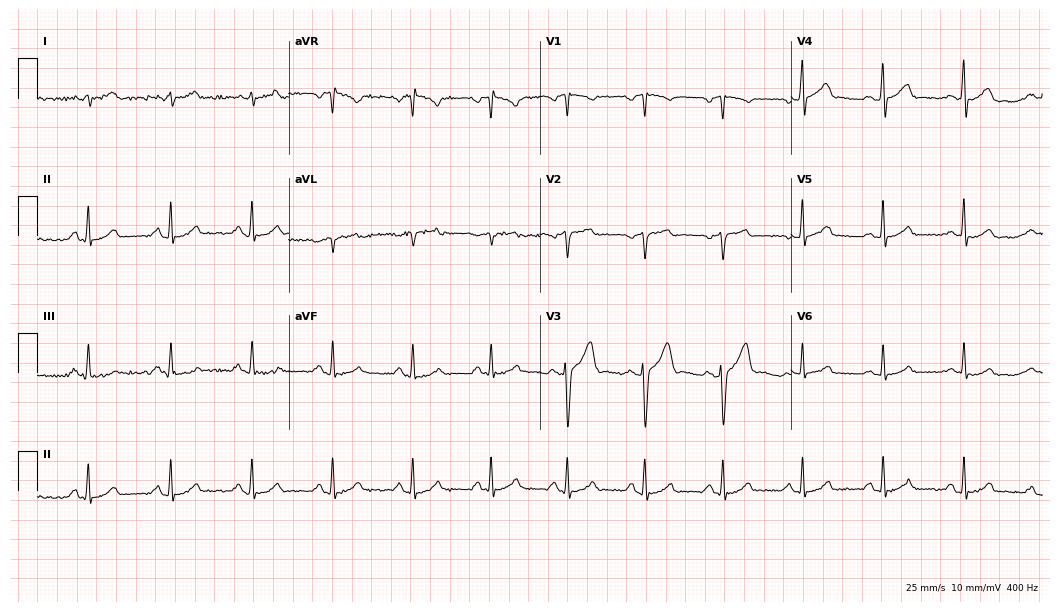
12-lead ECG from a man, 46 years old (10.2-second recording at 400 Hz). Recorded interpretation: within normal limits.